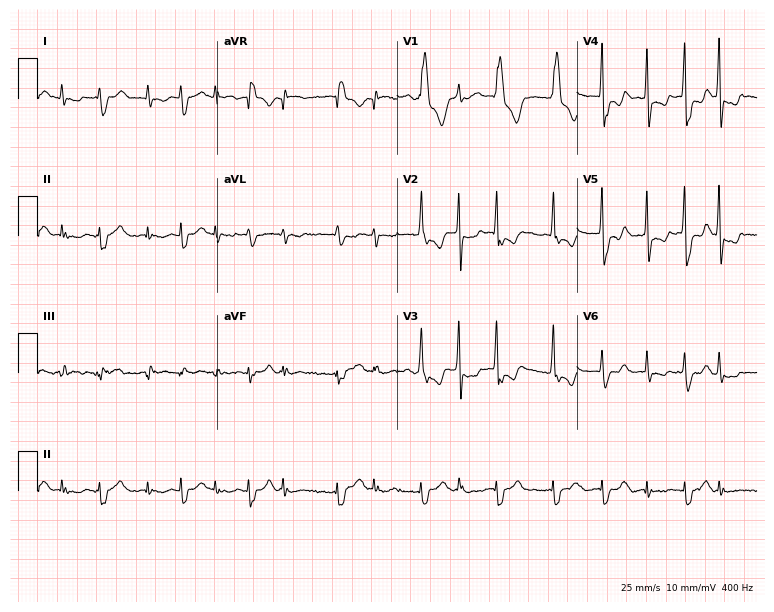
Resting 12-lead electrocardiogram (7.3-second recording at 400 Hz). Patient: an 82-year-old man. The tracing shows atrial fibrillation.